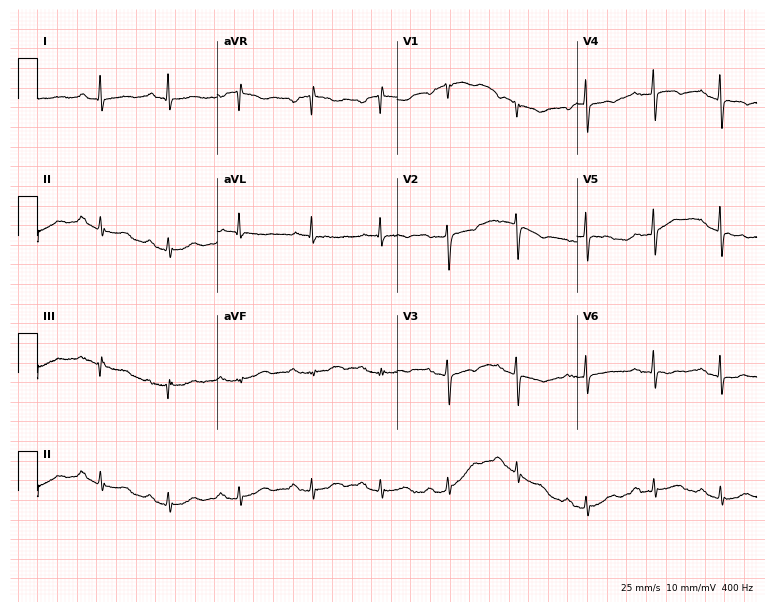
Resting 12-lead electrocardiogram. Patient: a 65-year-old female. None of these six findings is recorded: first-degree AV block, right bundle branch block, left bundle branch block, sinus bradycardia, atrial fibrillation, sinus tachycardia.